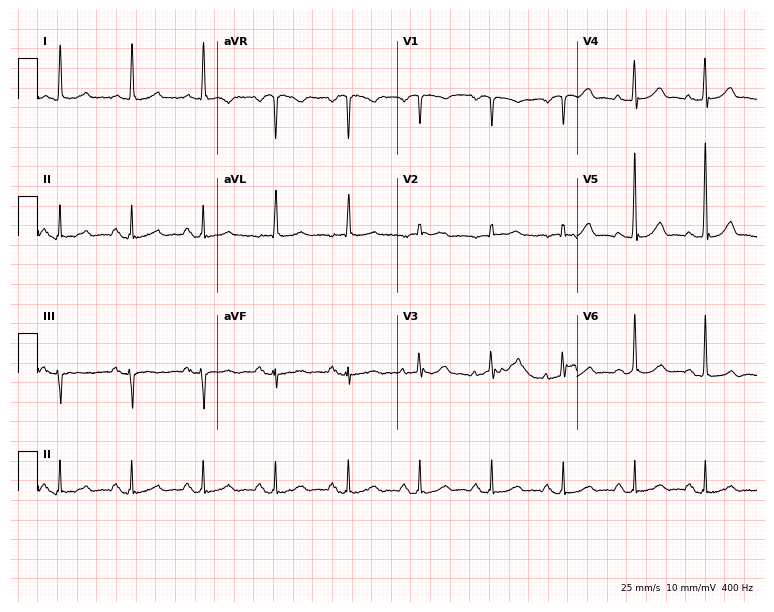
Resting 12-lead electrocardiogram. Patient: an 84-year-old female. Read as a normal ECG.